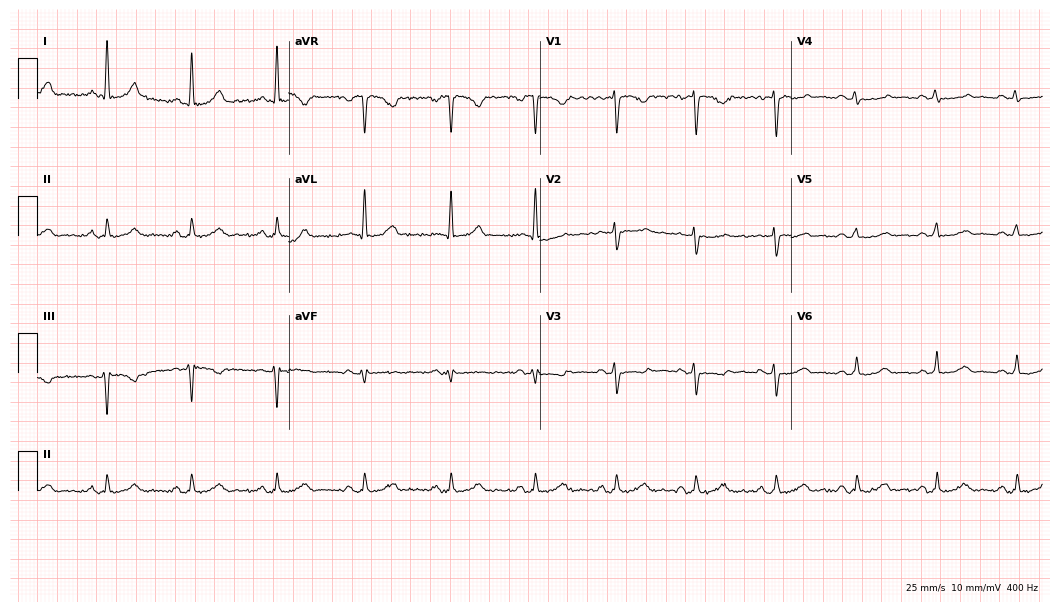
12-lead ECG (10.2-second recording at 400 Hz) from a woman, 37 years old. Labelled as a normal ECG.